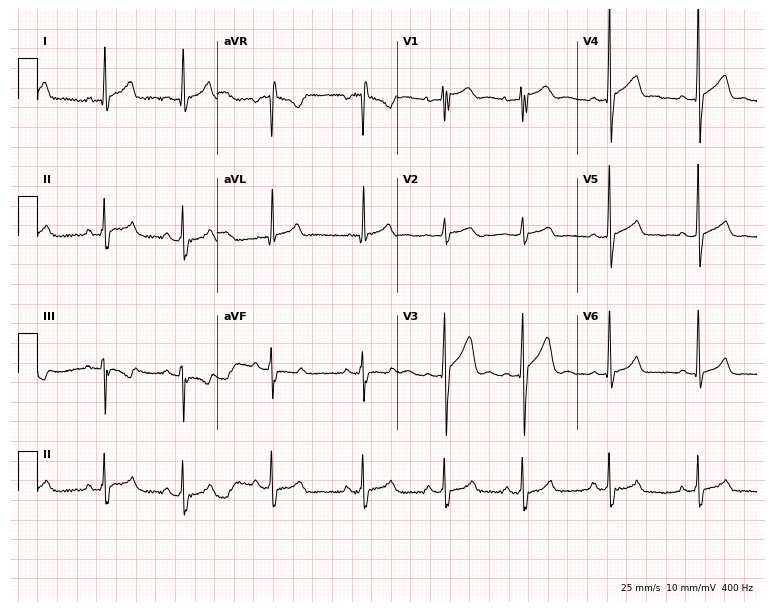
12-lead ECG from a 17-year-old male patient (7.3-second recording at 400 Hz). Recorded interpretation: within normal limits.